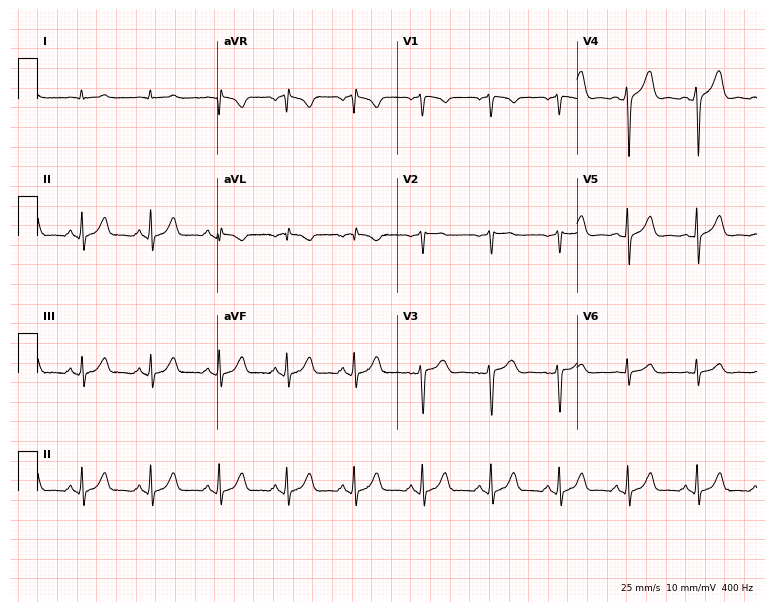
ECG — a 56-year-old male. Labelled as a normal ECG.